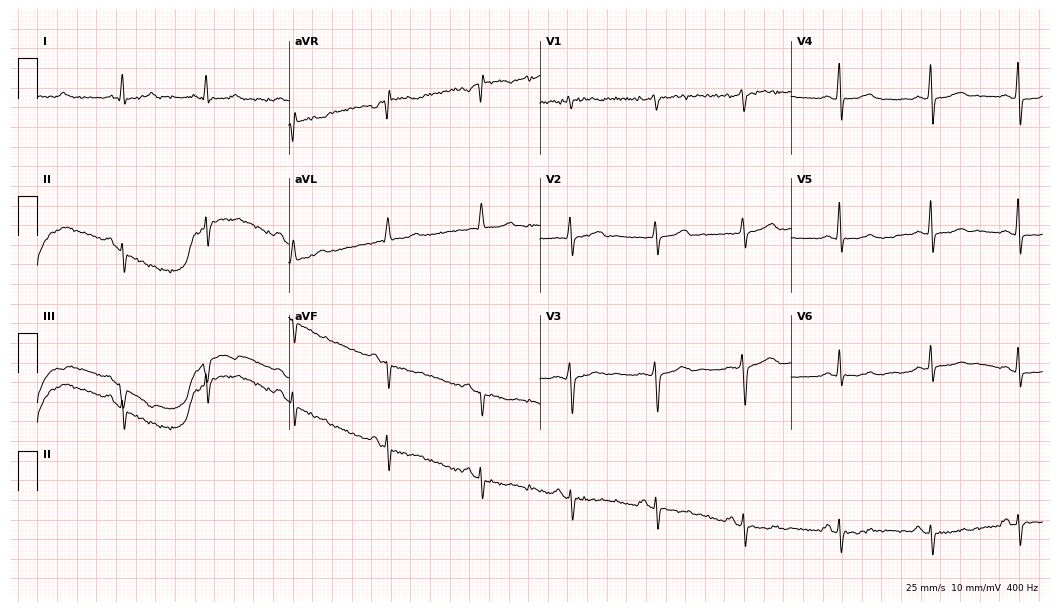
Resting 12-lead electrocardiogram. Patient: a 60-year-old woman. None of these six findings is recorded: first-degree AV block, right bundle branch block, left bundle branch block, sinus bradycardia, atrial fibrillation, sinus tachycardia. Only these six findings were labelled.